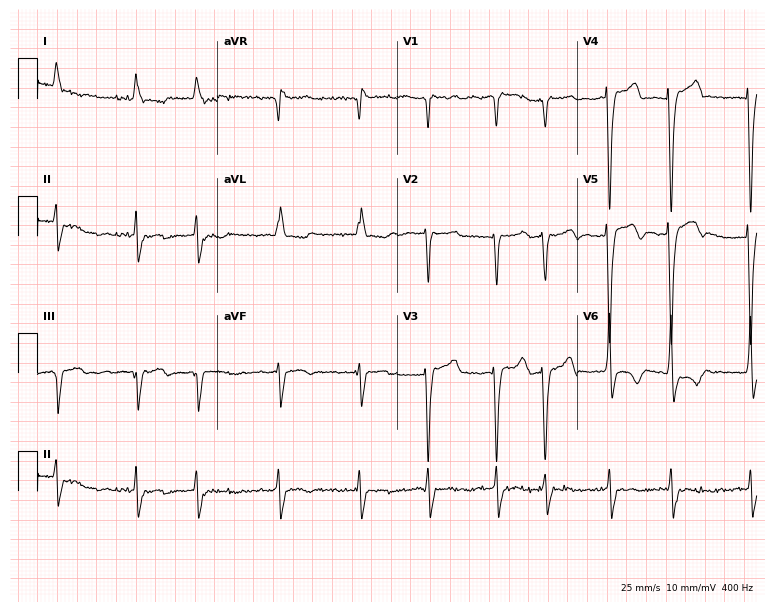
ECG — a 63-year-old female. Findings include atrial fibrillation.